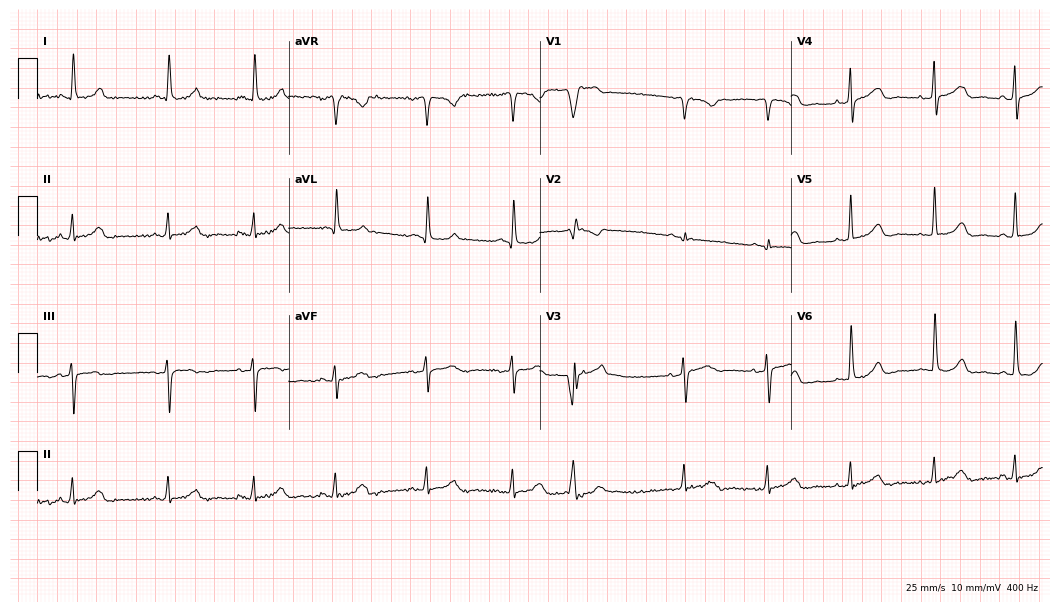
Standard 12-lead ECG recorded from an 81-year-old female patient (10.2-second recording at 400 Hz). Read as a normal ECG.